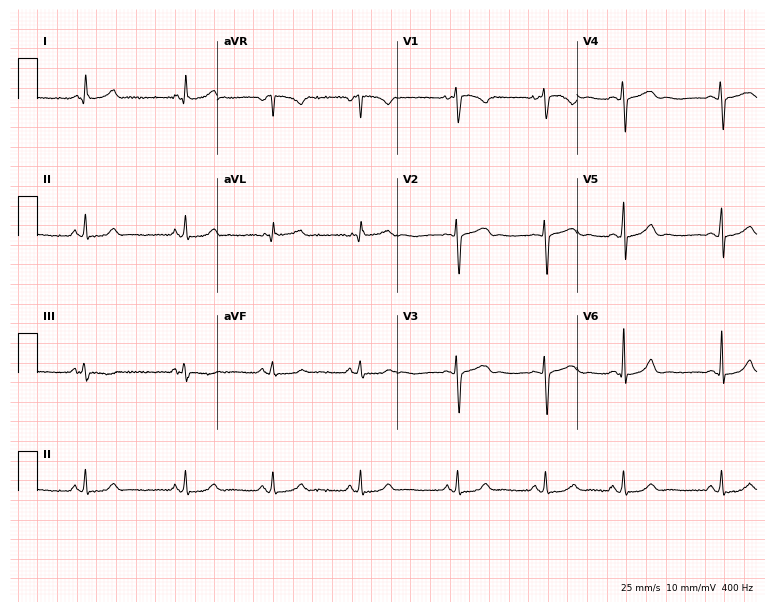
Standard 12-lead ECG recorded from a 21-year-old female (7.3-second recording at 400 Hz). Read as a normal ECG.